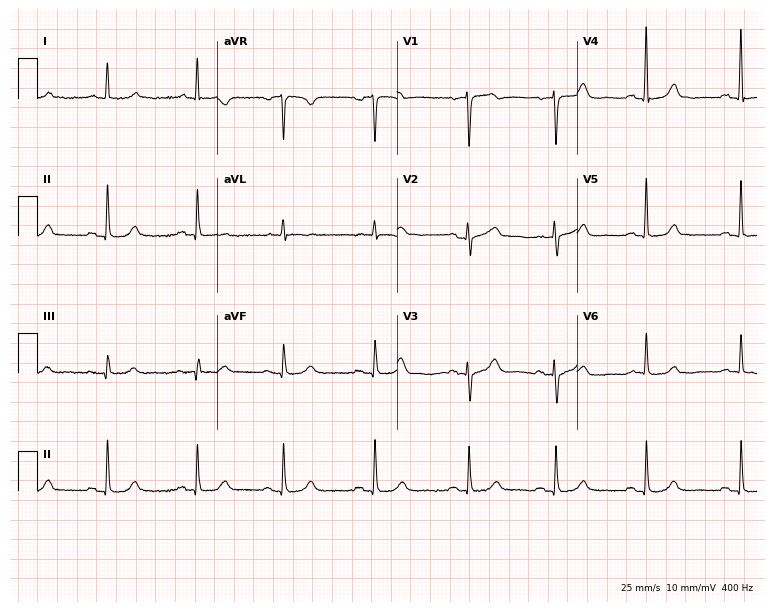
Standard 12-lead ECG recorded from a woman, 74 years old. None of these six findings is recorded: first-degree AV block, right bundle branch block, left bundle branch block, sinus bradycardia, atrial fibrillation, sinus tachycardia.